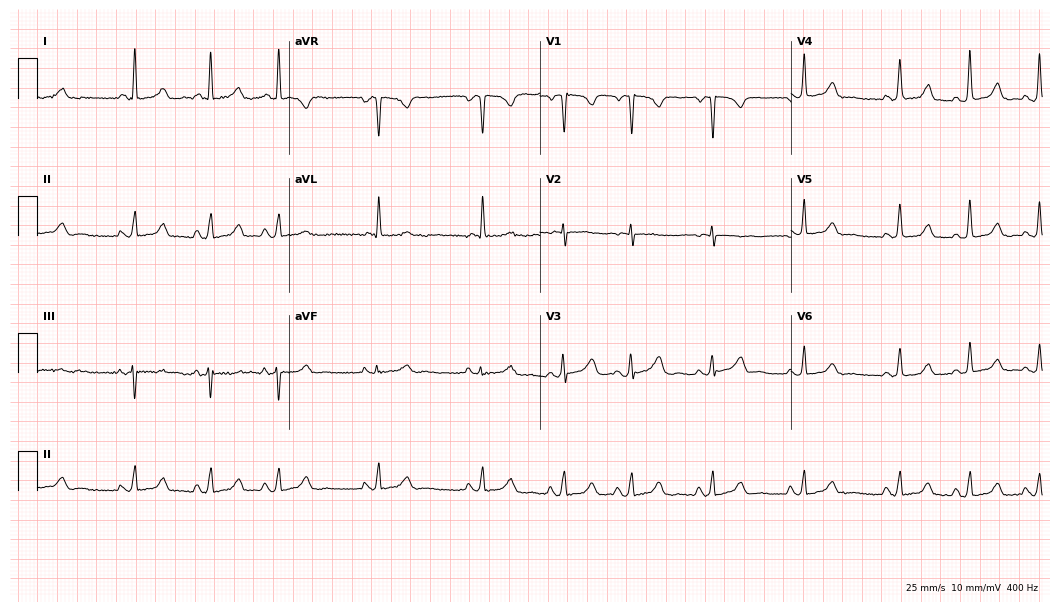
Standard 12-lead ECG recorded from a female, 34 years old. None of these six findings is recorded: first-degree AV block, right bundle branch block, left bundle branch block, sinus bradycardia, atrial fibrillation, sinus tachycardia. Only these six findings were labelled.